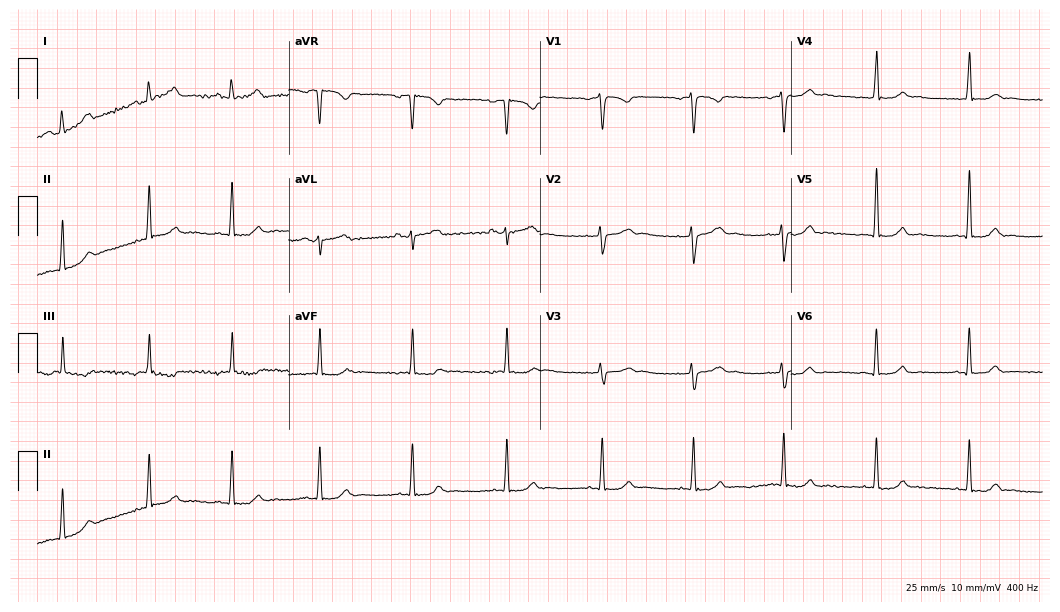
12-lead ECG from a 32-year-old female patient (10.2-second recording at 400 Hz). No first-degree AV block, right bundle branch block (RBBB), left bundle branch block (LBBB), sinus bradycardia, atrial fibrillation (AF) or sinus tachycardia recorded for this tracing.